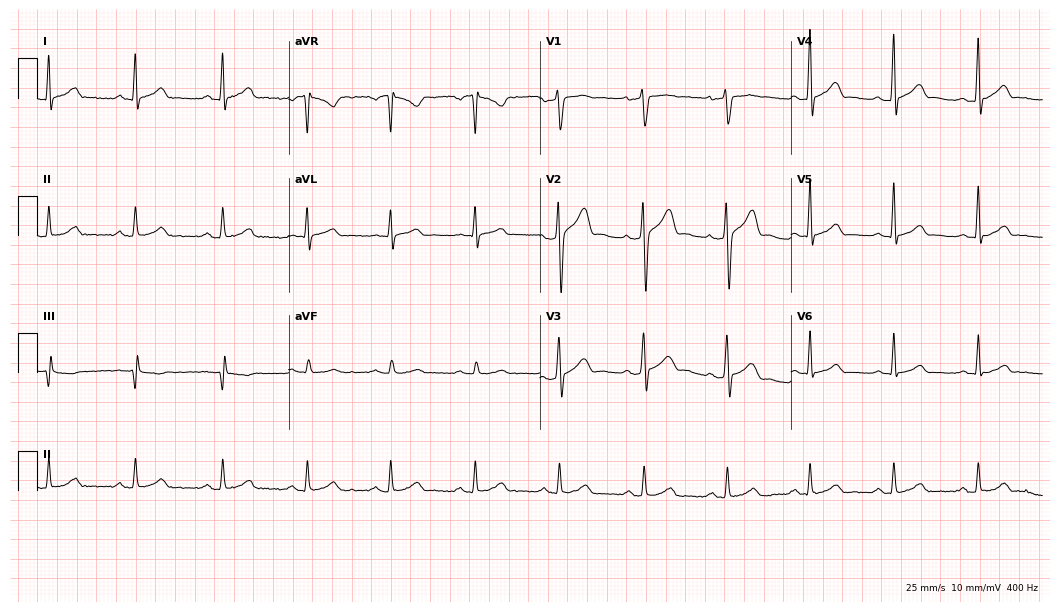
Resting 12-lead electrocardiogram (10.2-second recording at 400 Hz). Patient: a 36-year-old male. Read as a normal ECG.